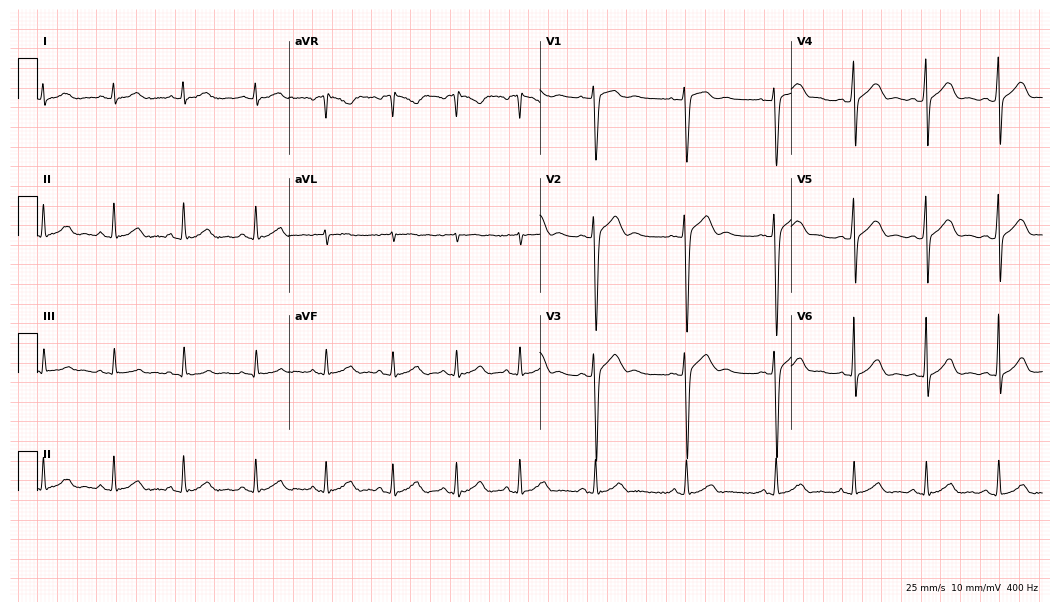
Electrocardiogram (10.2-second recording at 400 Hz), a man, 17 years old. Overall reading on record: normal ECG.